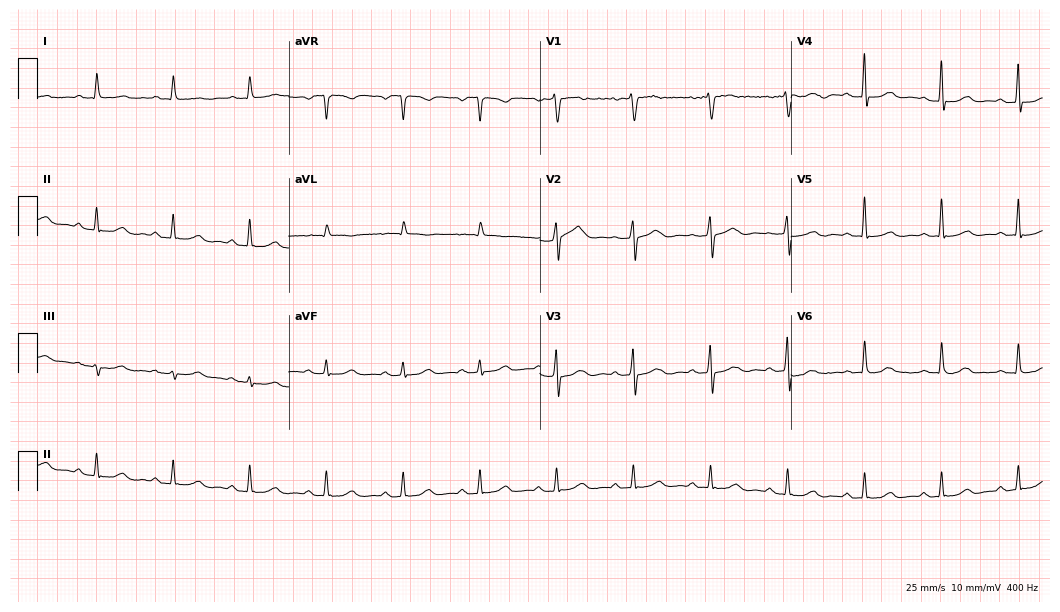
Electrocardiogram, a female patient, 79 years old. Overall reading on record: normal ECG.